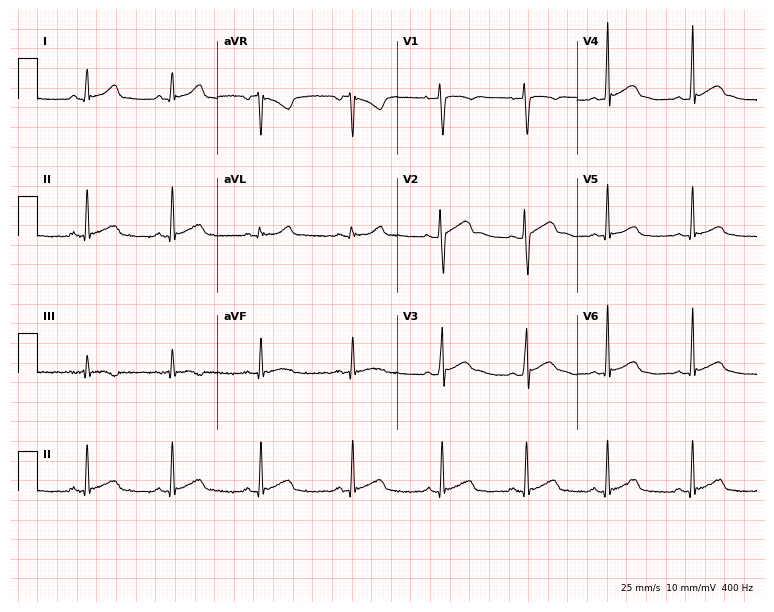
Resting 12-lead electrocardiogram (7.3-second recording at 400 Hz). Patient: a 20-year-old man. None of these six findings is recorded: first-degree AV block, right bundle branch block, left bundle branch block, sinus bradycardia, atrial fibrillation, sinus tachycardia.